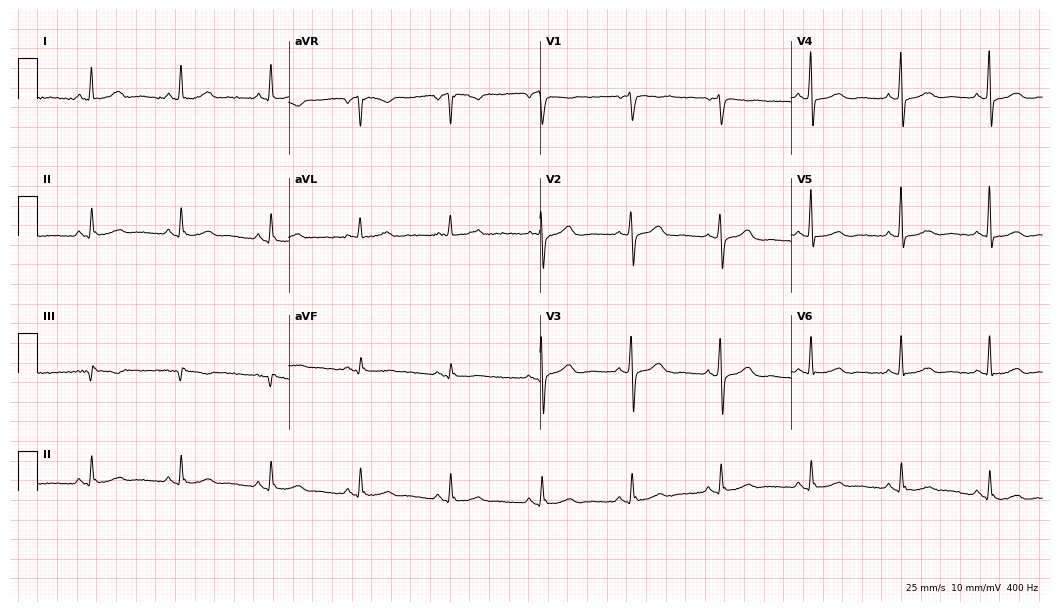
Electrocardiogram, a female, 62 years old. Of the six screened findings (first-degree AV block, right bundle branch block (RBBB), left bundle branch block (LBBB), sinus bradycardia, atrial fibrillation (AF), sinus tachycardia), none is recorded. Other findings, if any, are not listed.